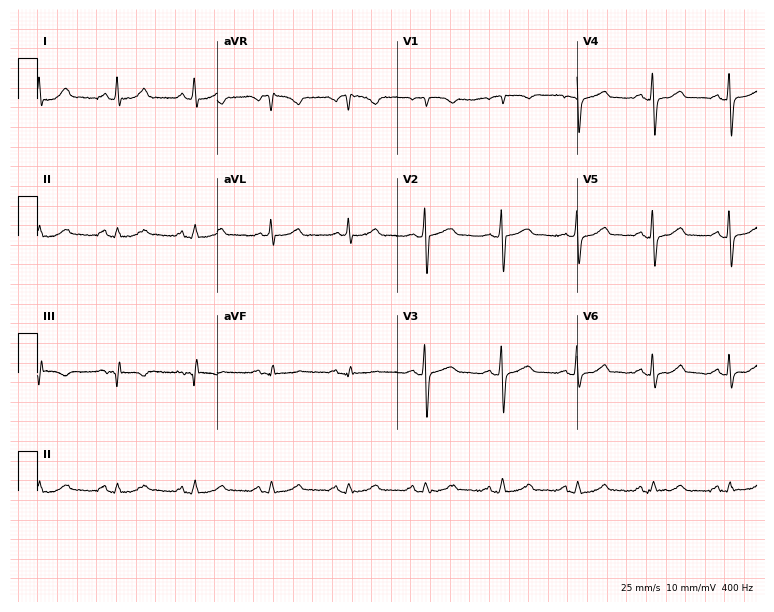
Electrocardiogram (7.3-second recording at 400 Hz), a male patient, 68 years old. Overall reading on record: normal ECG.